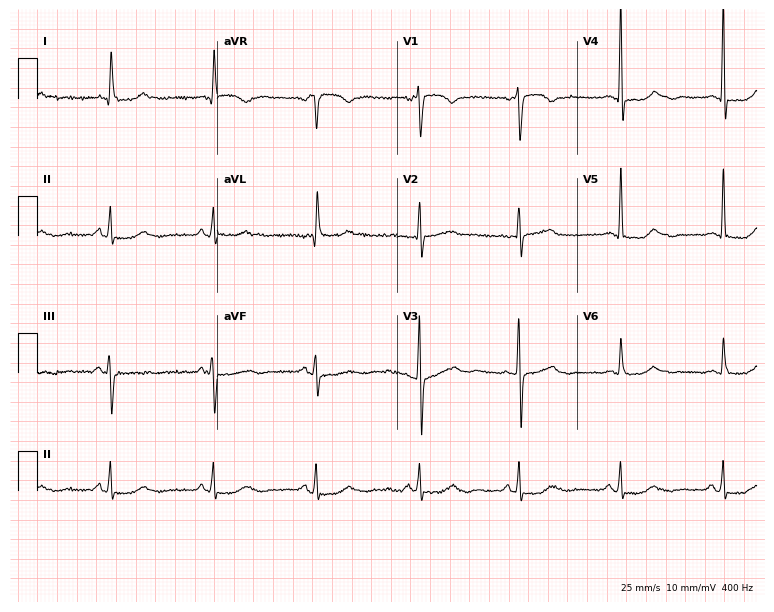
Electrocardiogram (7.3-second recording at 400 Hz), a 67-year-old female patient. Of the six screened findings (first-degree AV block, right bundle branch block (RBBB), left bundle branch block (LBBB), sinus bradycardia, atrial fibrillation (AF), sinus tachycardia), none is recorded.